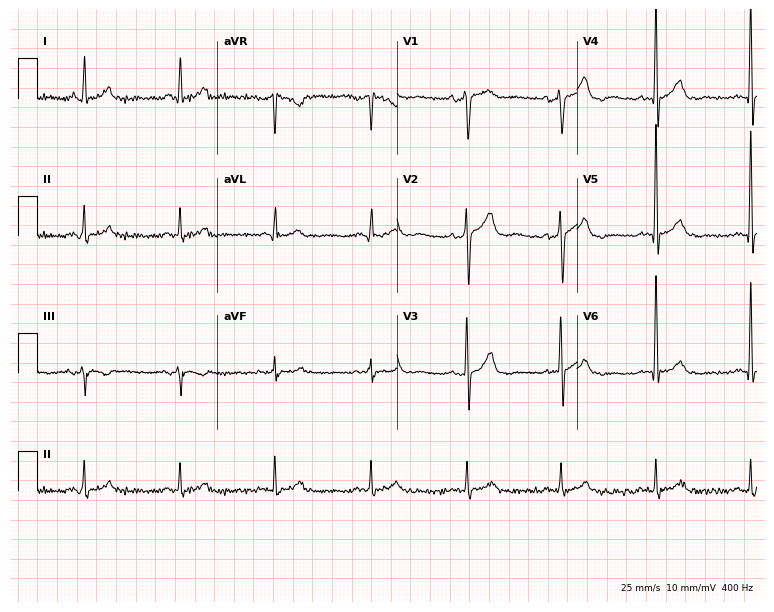
Electrocardiogram (7.3-second recording at 400 Hz), a 70-year-old male patient. Overall reading on record: normal ECG.